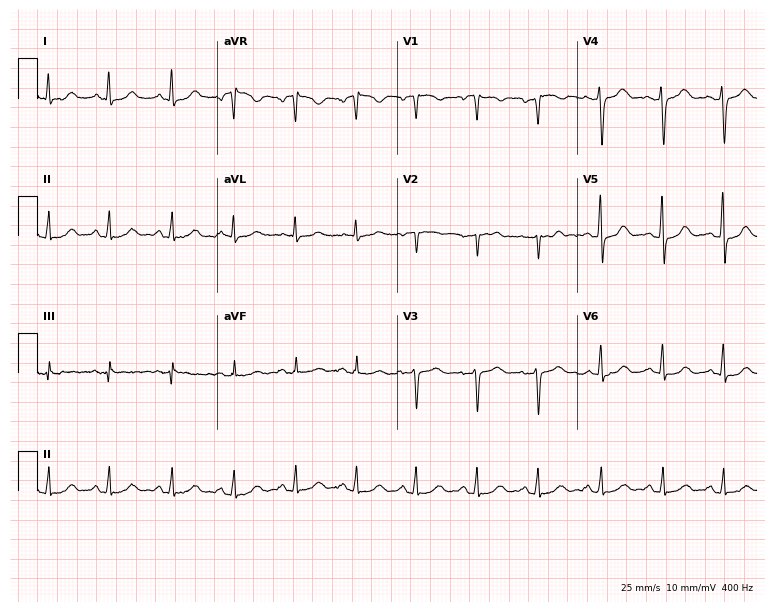
ECG (7.3-second recording at 400 Hz) — a 51-year-old female. Screened for six findings — first-degree AV block, right bundle branch block, left bundle branch block, sinus bradycardia, atrial fibrillation, sinus tachycardia — none is recorded.